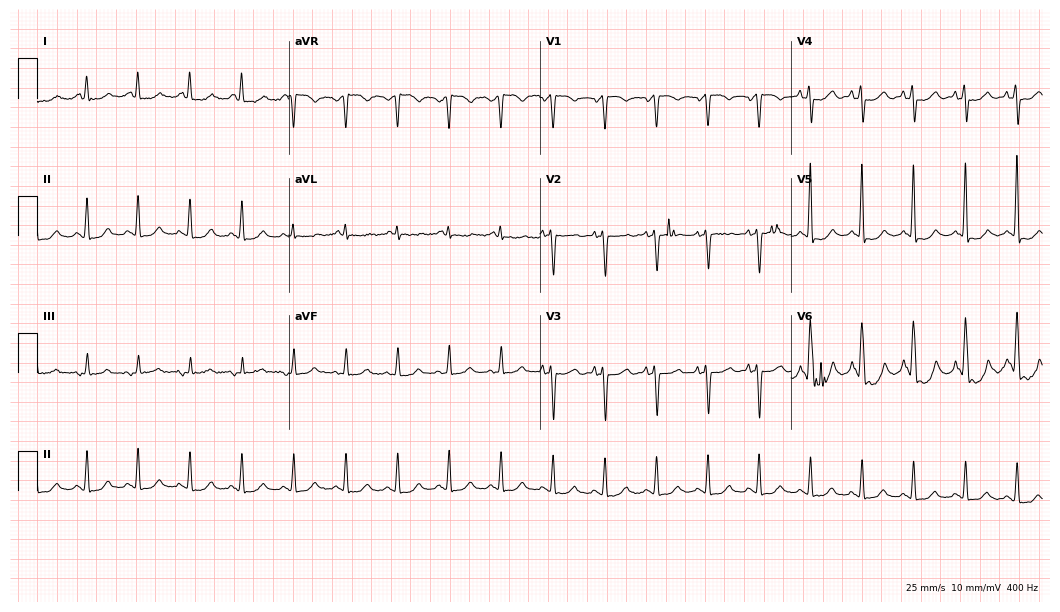
ECG — a woman, 41 years old. Findings include sinus tachycardia (a sinus rate of 100 beats per minute or more).